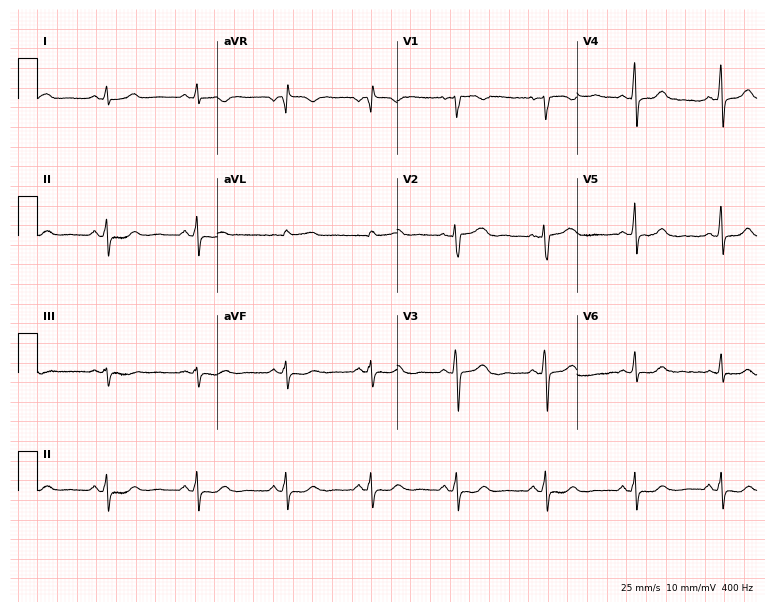
Resting 12-lead electrocardiogram. Patient: a 43-year-old female. Read as a normal ECG.